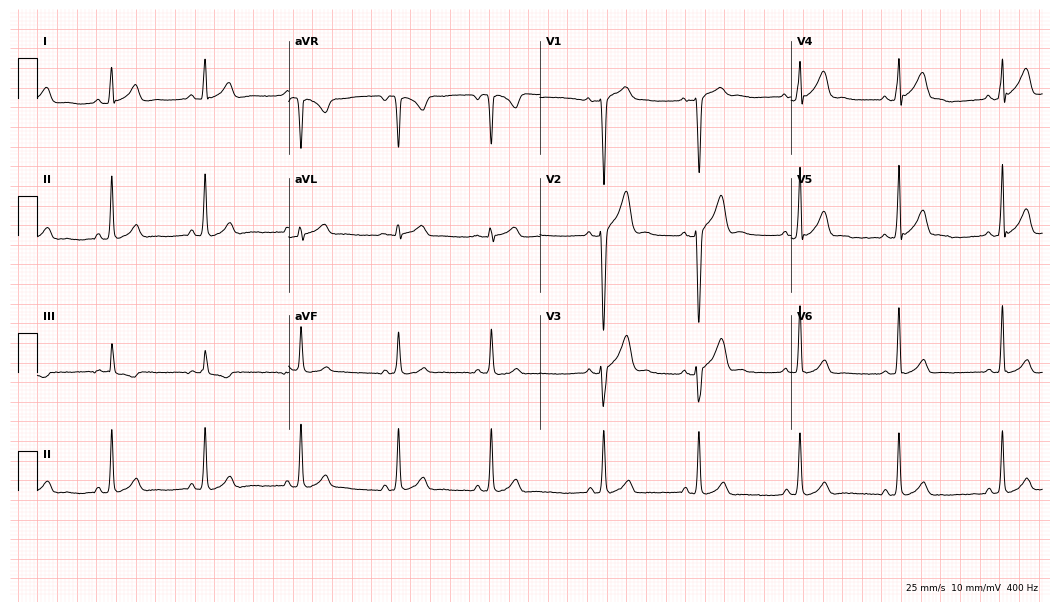
Standard 12-lead ECG recorded from an 18-year-old male patient. Read as a normal ECG.